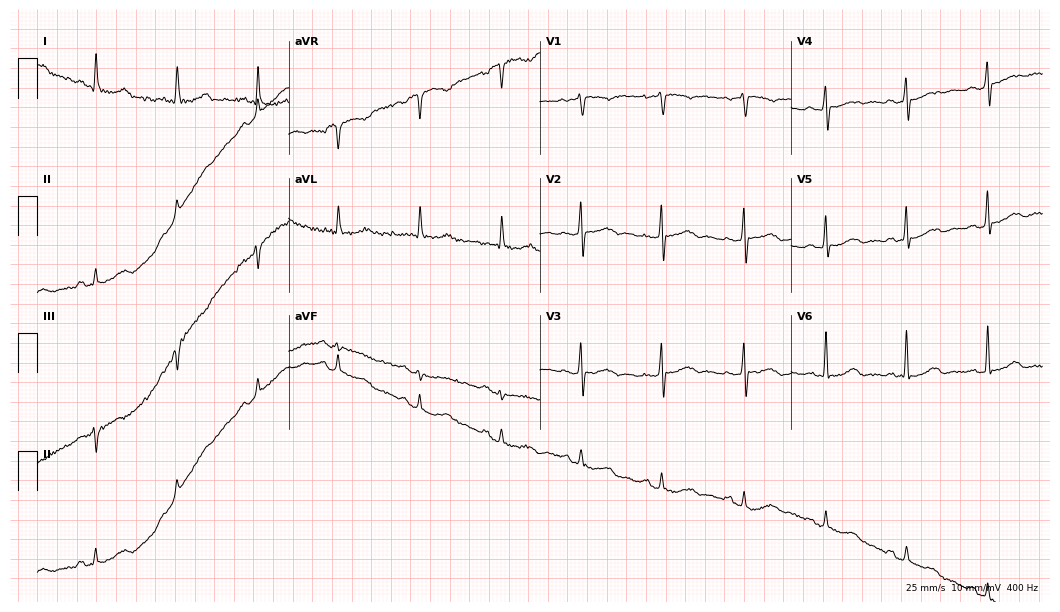
Standard 12-lead ECG recorded from a 76-year-old female. None of these six findings is recorded: first-degree AV block, right bundle branch block, left bundle branch block, sinus bradycardia, atrial fibrillation, sinus tachycardia.